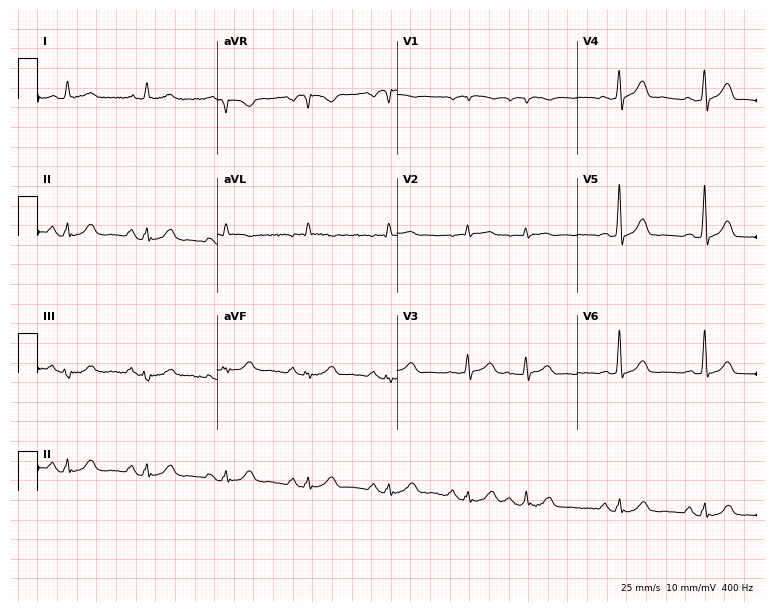
ECG — an 80-year-old male patient. Screened for six findings — first-degree AV block, right bundle branch block (RBBB), left bundle branch block (LBBB), sinus bradycardia, atrial fibrillation (AF), sinus tachycardia — none is recorded.